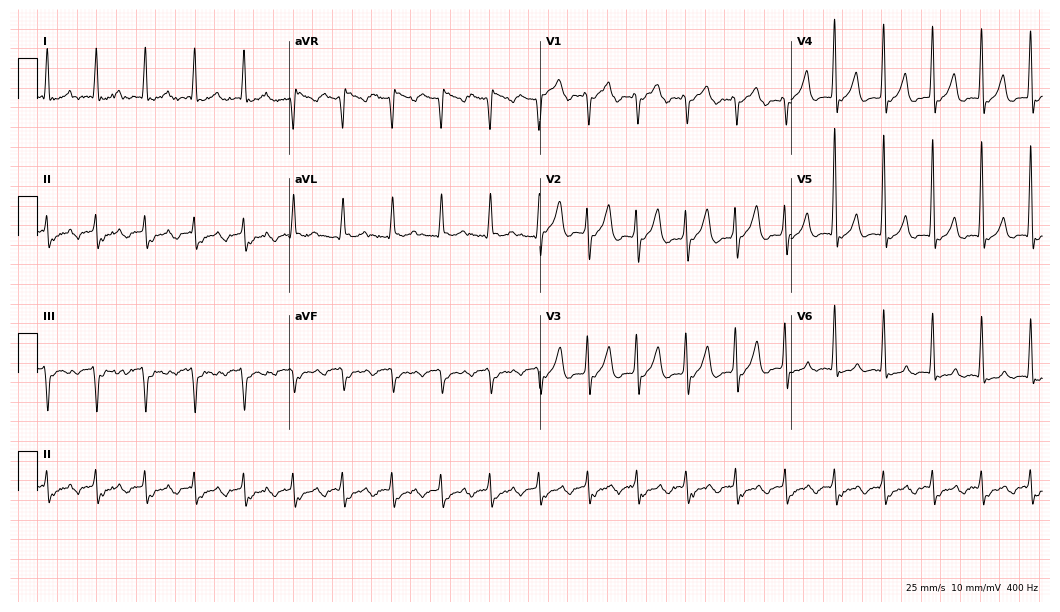
12-lead ECG from a 70-year-old male. Screened for six findings — first-degree AV block, right bundle branch block (RBBB), left bundle branch block (LBBB), sinus bradycardia, atrial fibrillation (AF), sinus tachycardia — none is recorded.